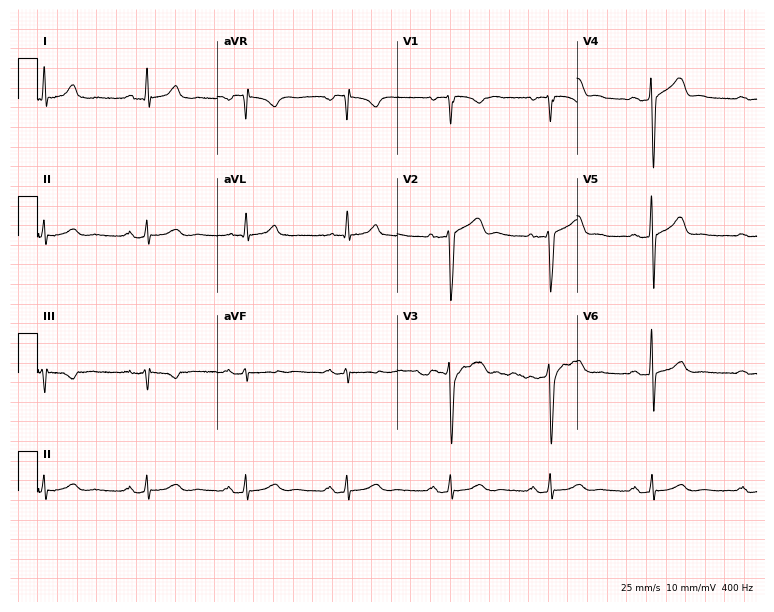
ECG (7.3-second recording at 400 Hz) — a 48-year-old male. Labelled as a normal ECG.